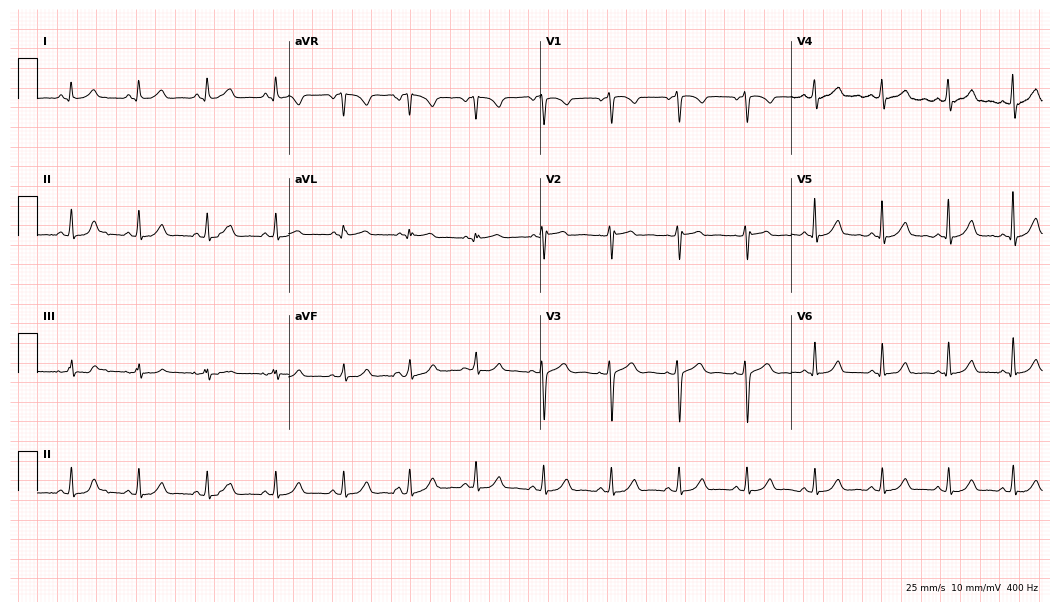
12-lead ECG from a 40-year-old female patient (10.2-second recording at 400 Hz). Recorded interpretation: within normal limits.